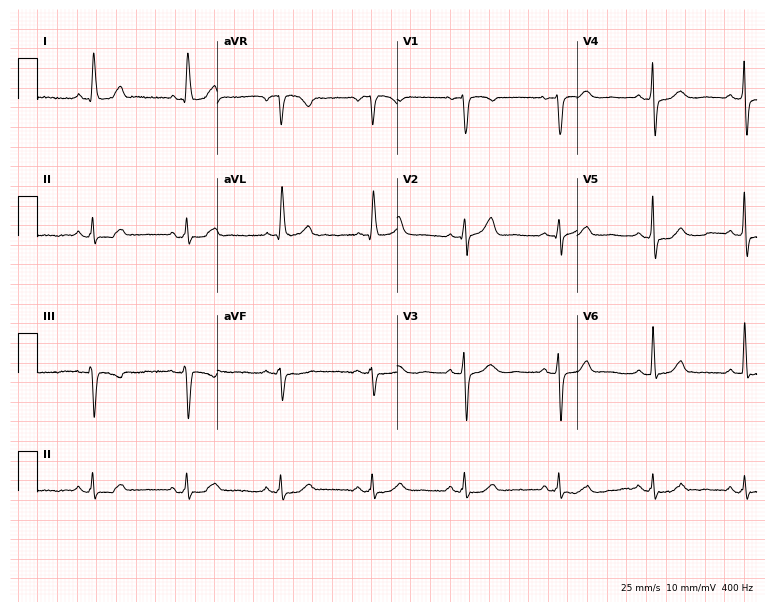
ECG (7.3-second recording at 400 Hz) — a female, 64 years old. Labelled as a normal ECG.